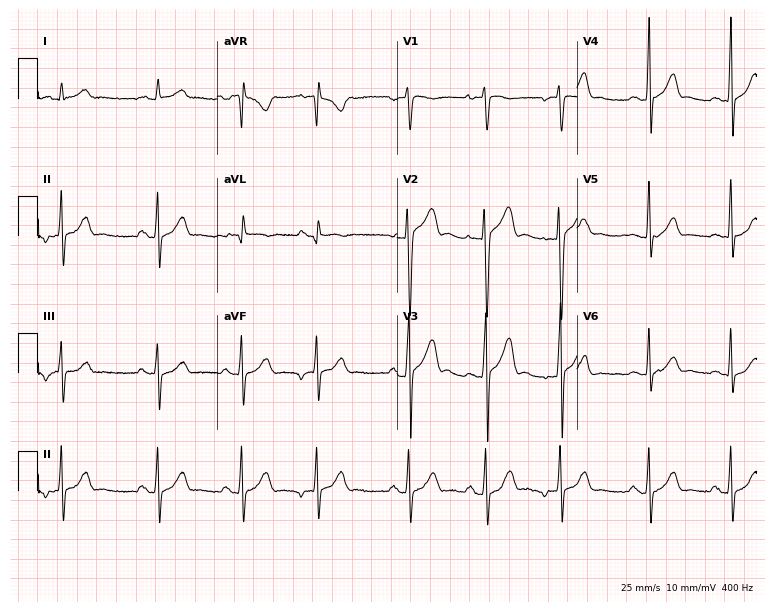
Standard 12-lead ECG recorded from a male, 25 years old (7.3-second recording at 400 Hz). None of these six findings is recorded: first-degree AV block, right bundle branch block, left bundle branch block, sinus bradycardia, atrial fibrillation, sinus tachycardia. Findings outside these six are not listed.